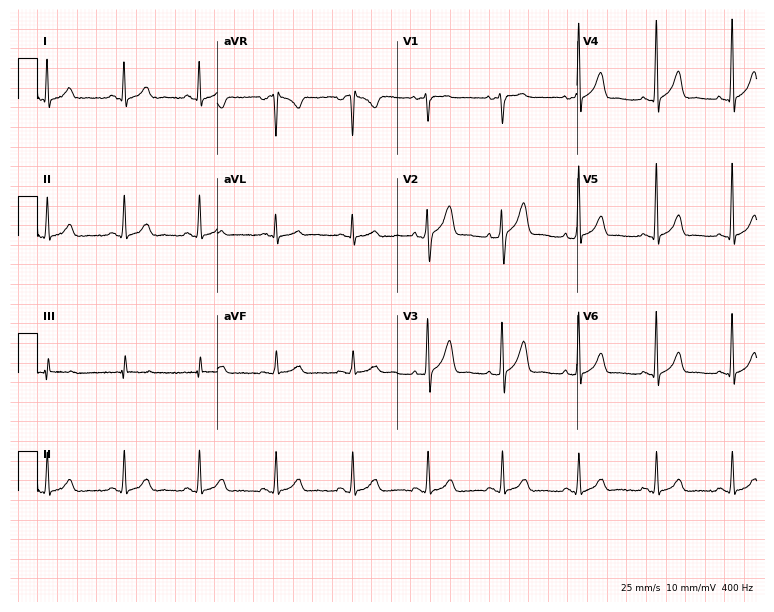
ECG — a 28-year-old man. Labelled as a normal ECG.